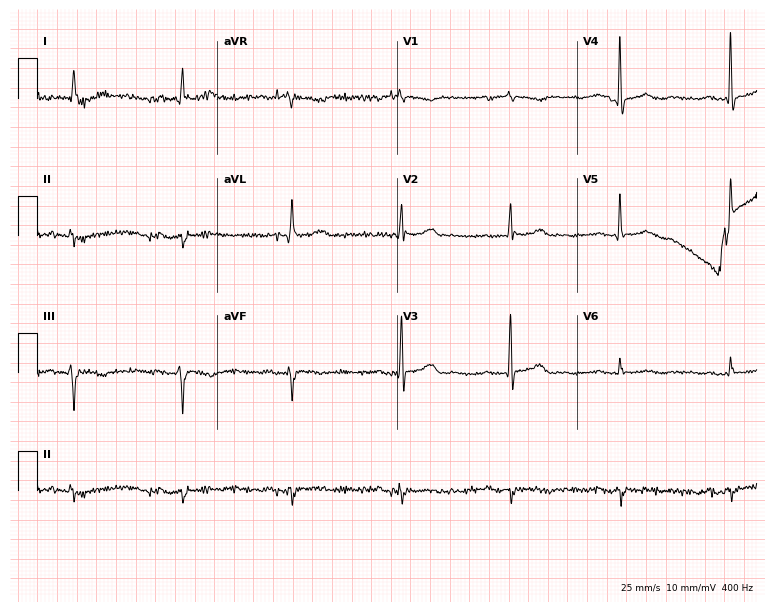
ECG (7.3-second recording at 400 Hz) — a male, 82 years old. Screened for six findings — first-degree AV block, right bundle branch block (RBBB), left bundle branch block (LBBB), sinus bradycardia, atrial fibrillation (AF), sinus tachycardia — none is recorded. Other findings, if any, are not listed.